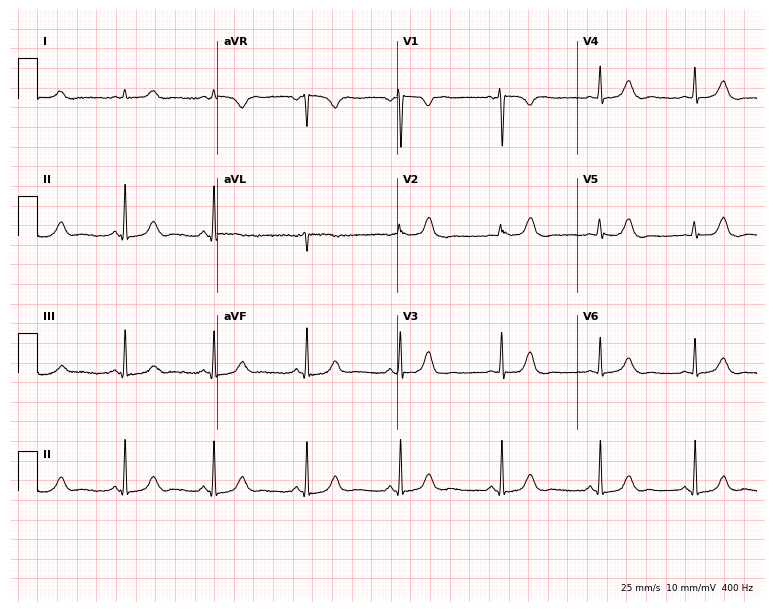
ECG — a female, 66 years old. Labelled as a normal ECG.